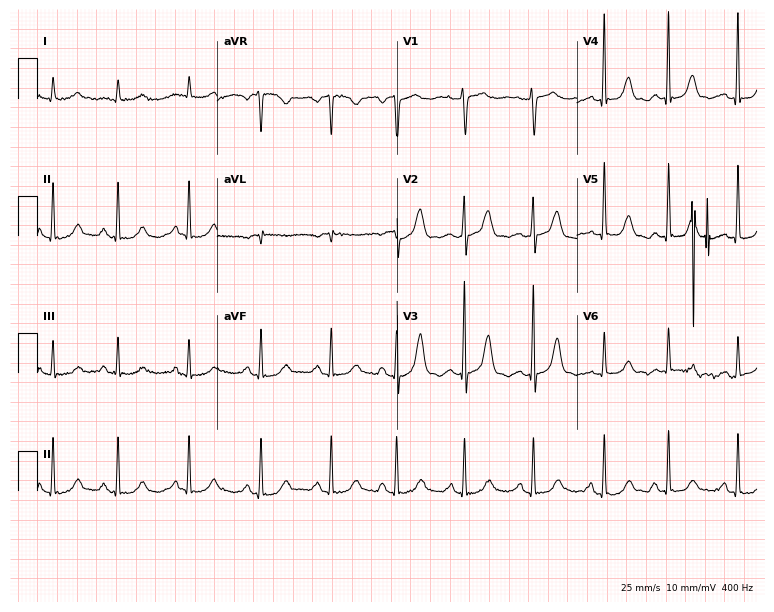
Electrocardiogram (7.3-second recording at 400 Hz), a 76-year-old woman. Overall reading on record: normal ECG.